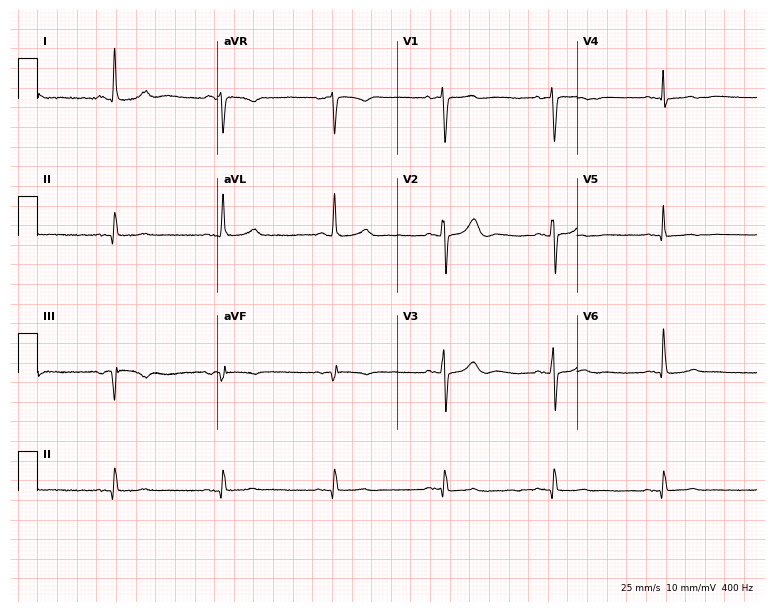
Resting 12-lead electrocardiogram (7.3-second recording at 400 Hz). Patient: a 77-year-old woman. None of these six findings is recorded: first-degree AV block, right bundle branch block, left bundle branch block, sinus bradycardia, atrial fibrillation, sinus tachycardia. Findings outside these six are not listed.